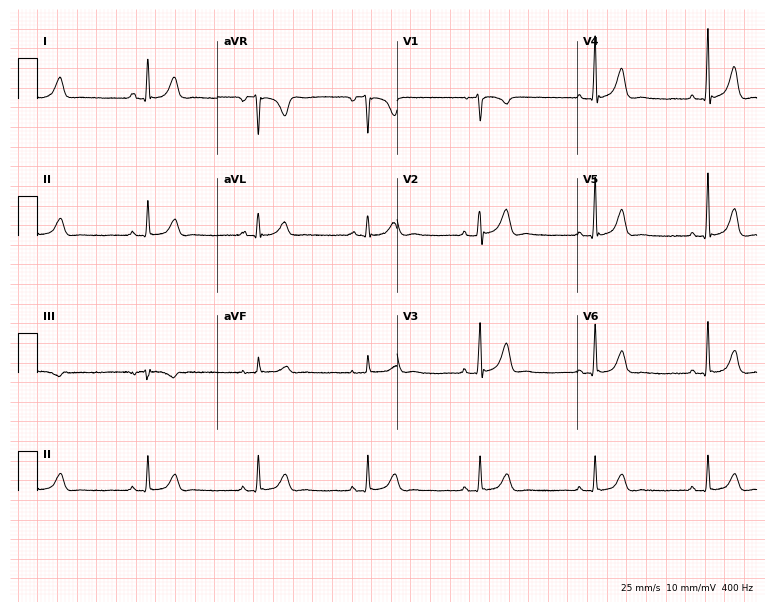
Resting 12-lead electrocardiogram. Patient: a woman, 48 years old. None of these six findings is recorded: first-degree AV block, right bundle branch block (RBBB), left bundle branch block (LBBB), sinus bradycardia, atrial fibrillation (AF), sinus tachycardia. Findings outside these six are not listed.